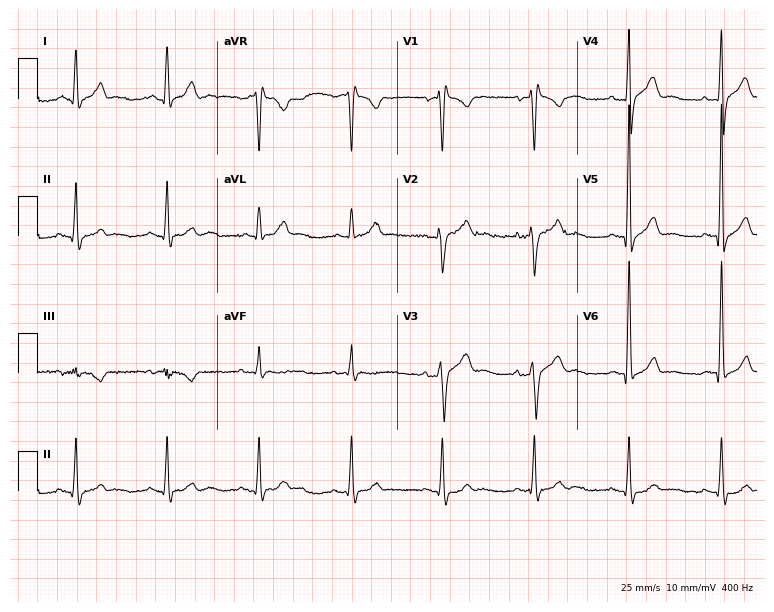
Electrocardiogram (7.3-second recording at 400 Hz), a 36-year-old male patient. Of the six screened findings (first-degree AV block, right bundle branch block, left bundle branch block, sinus bradycardia, atrial fibrillation, sinus tachycardia), none is recorded.